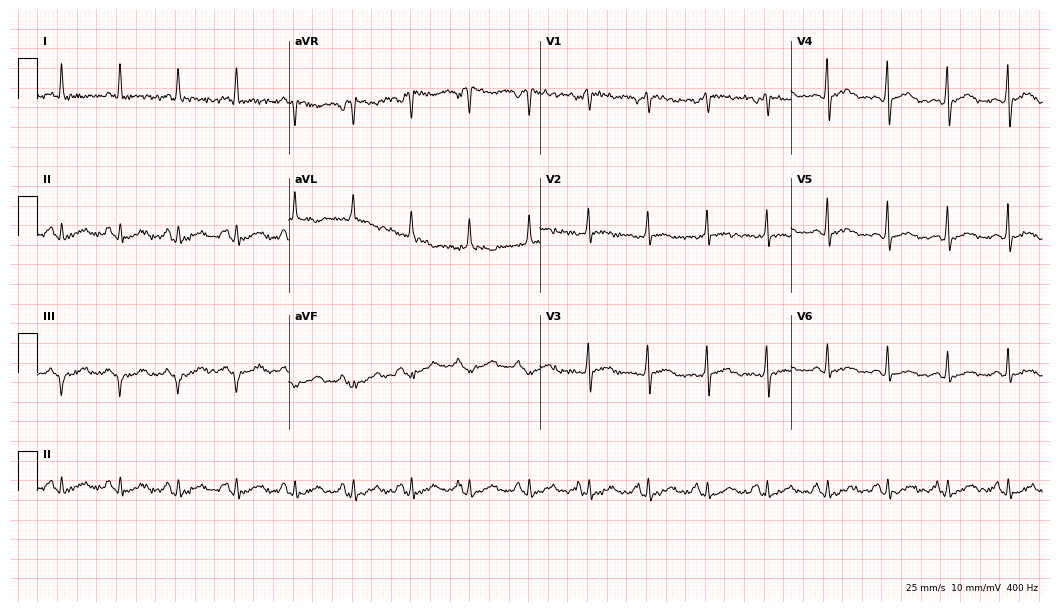
ECG — a female, 45 years old. Screened for six findings — first-degree AV block, right bundle branch block, left bundle branch block, sinus bradycardia, atrial fibrillation, sinus tachycardia — none is recorded.